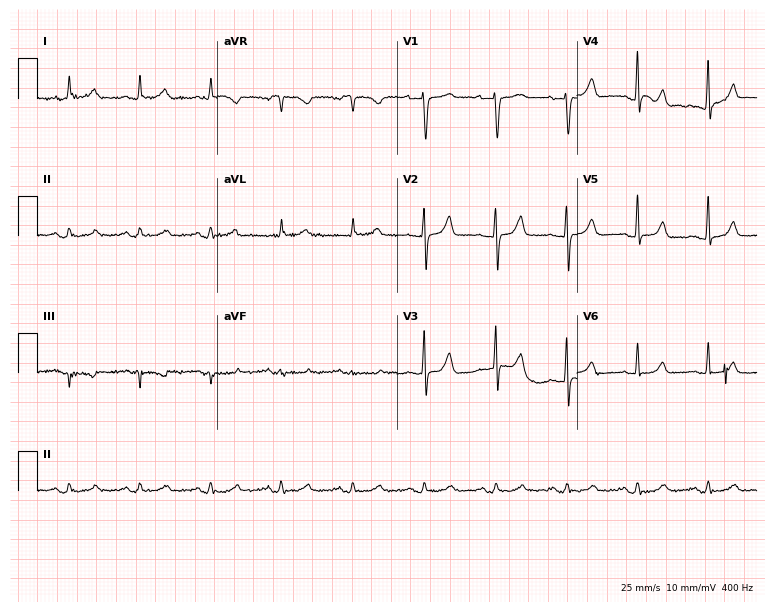
ECG (7.3-second recording at 400 Hz) — a female patient, 76 years old. Screened for six findings — first-degree AV block, right bundle branch block (RBBB), left bundle branch block (LBBB), sinus bradycardia, atrial fibrillation (AF), sinus tachycardia — none is recorded. Only these six findings were labelled.